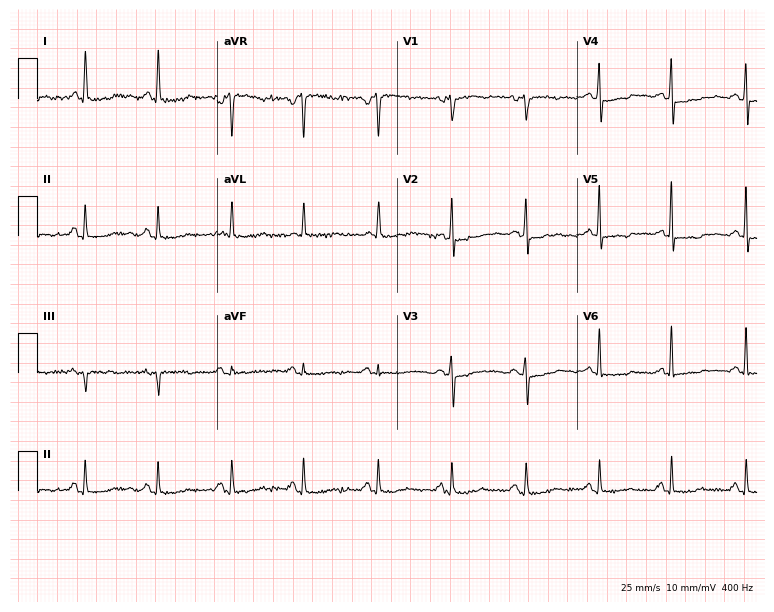
12-lead ECG from a 64-year-old female. No first-degree AV block, right bundle branch block, left bundle branch block, sinus bradycardia, atrial fibrillation or sinus tachycardia recorded for this tracing. Findings outside these six are not listed.